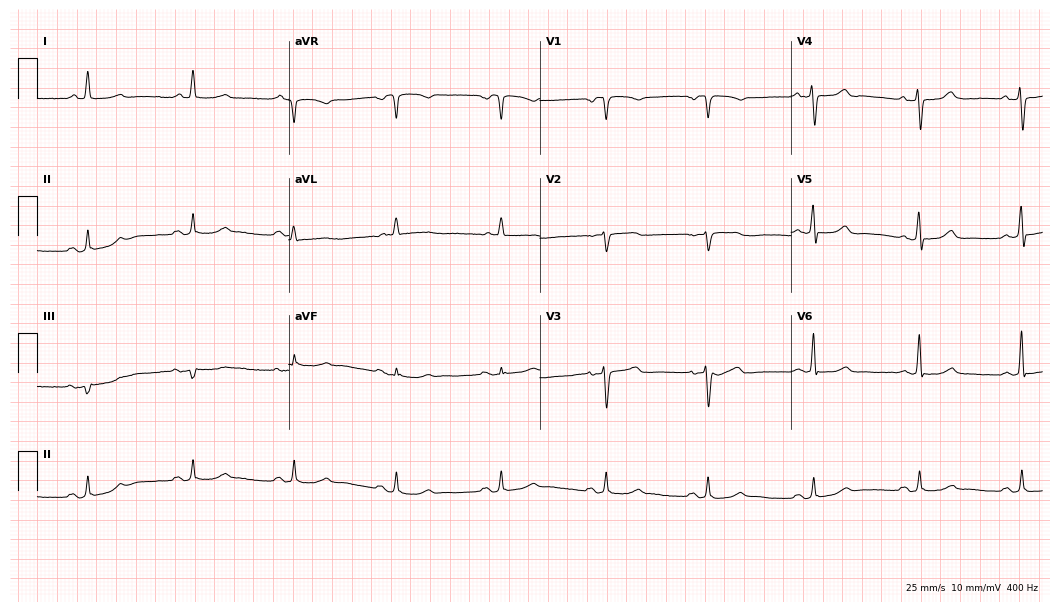
Standard 12-lead ECG recorded from a woman, 75 years old. Read as a normal ECG.